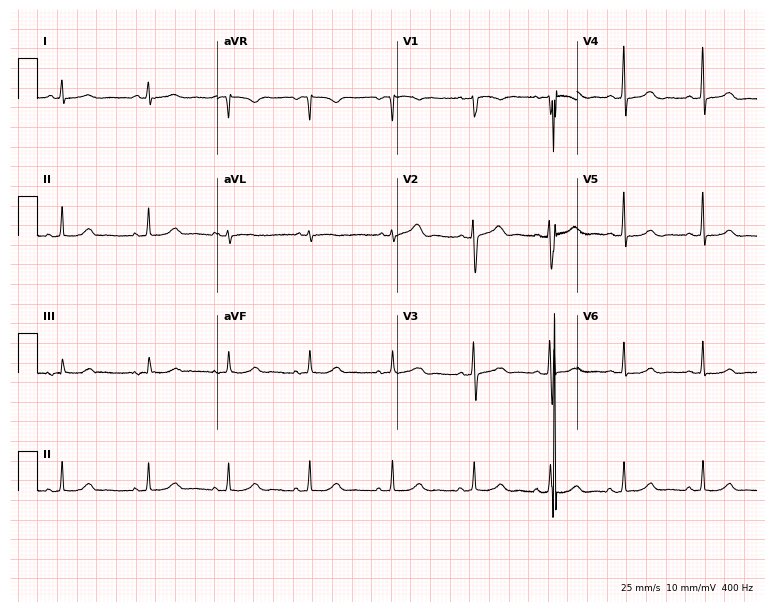
12-lead ECG (7.3-second recording at 400 Hz) from a female patient, 31 years old. Labelled as a normal ECG.